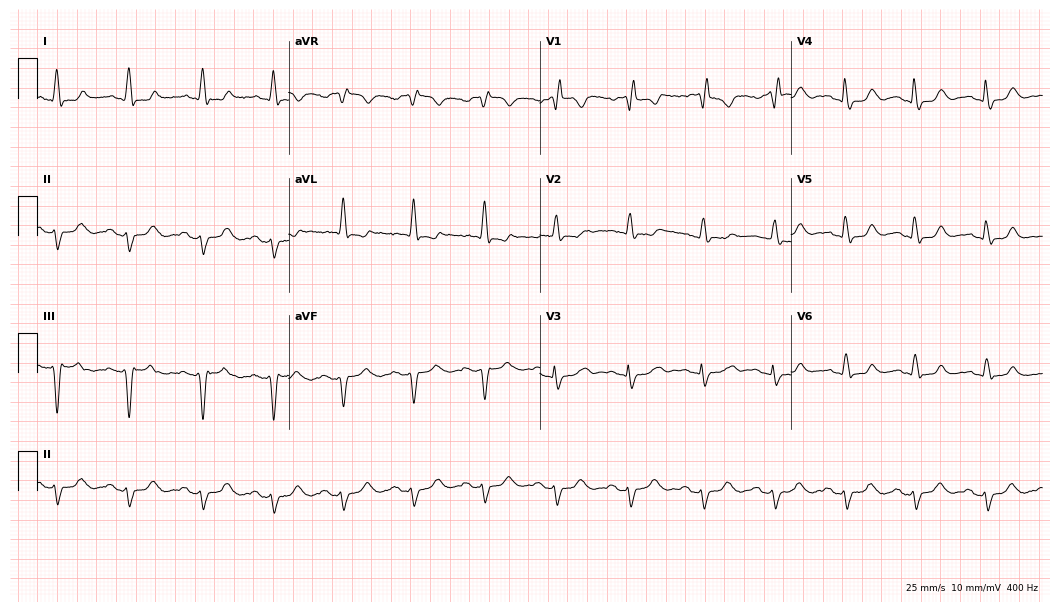
ECG (10.2-second recording at 400 Hz) — a 74-year-old female patient. Findings include right bundle branch block.